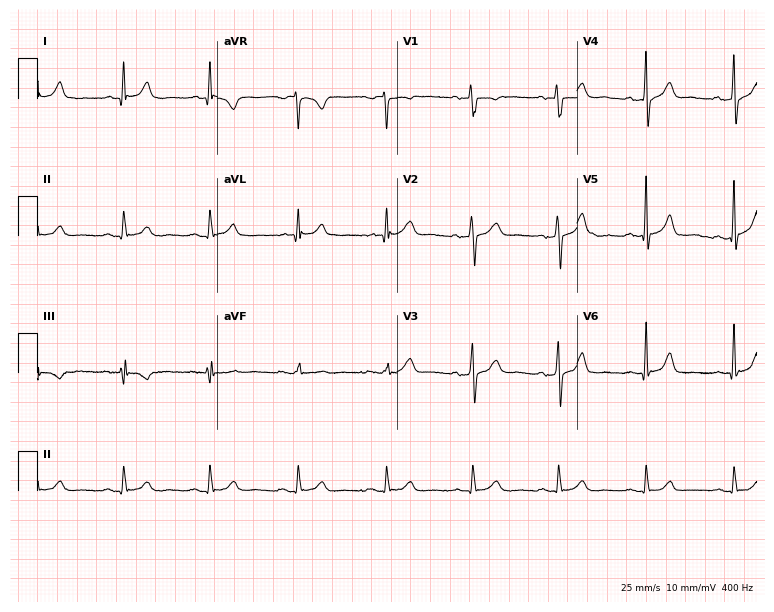
Resting 12-lead electrocardiogram (7.3-second recording at 400 Hz). Patient: a male, 50 years old. Read as a normal ECG.